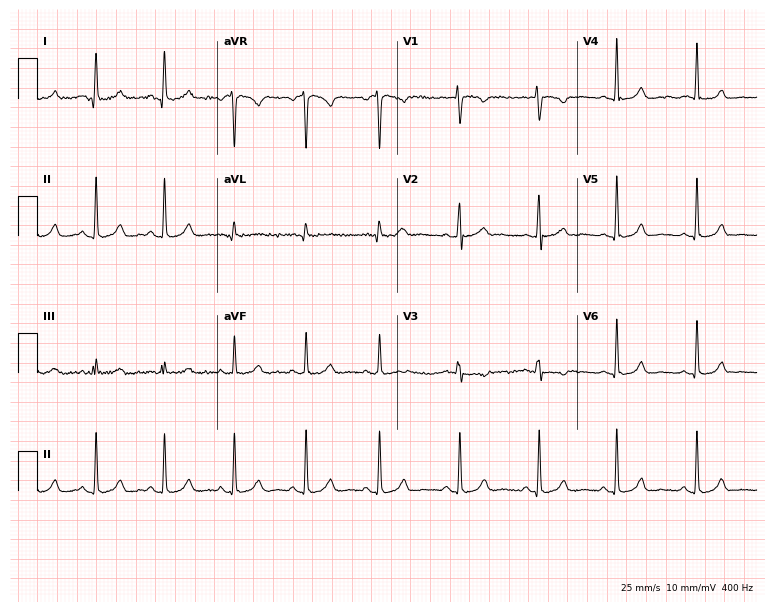
Resting 12-lead electrocardiogram. Patient: a 28-year-old woman. Read as a normal ECG.